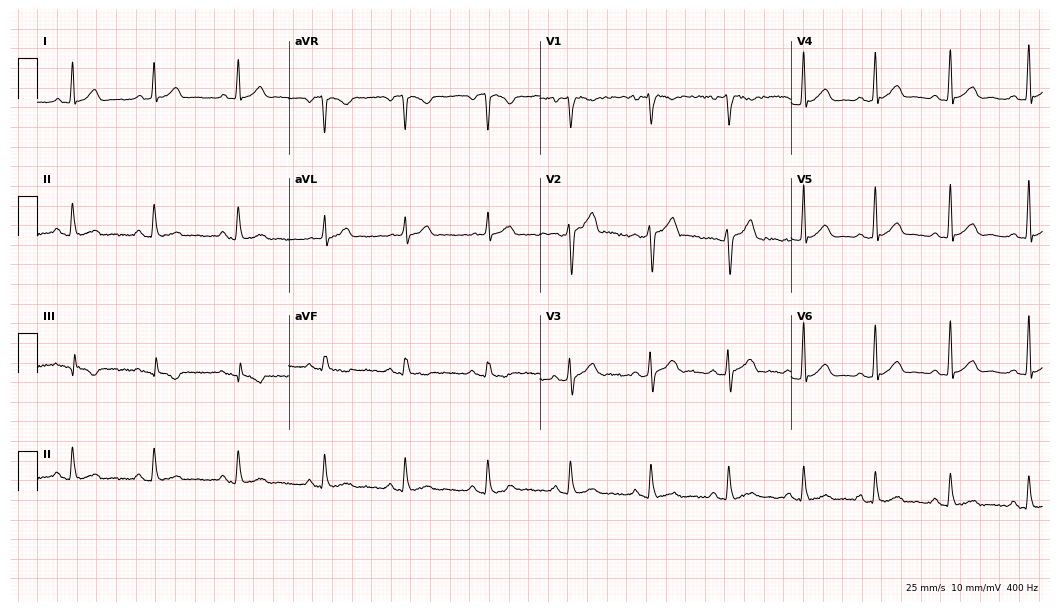
Resting 12-lead electrocardiogram (10.2-second recording at 400 Hz). Patient: a 33-year-old man. Read as a normal ECG.